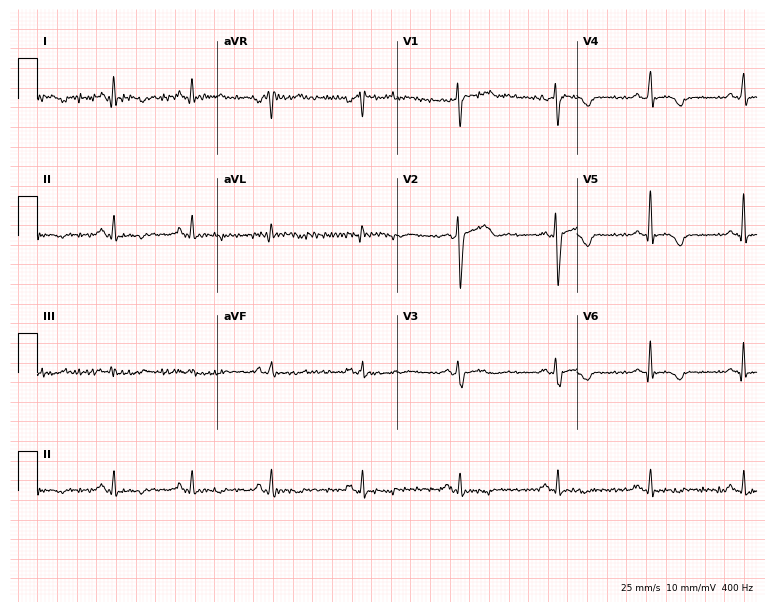
Standard 12-lead ECG recorded from a 49-year-old man. None of these six findings is recorded: first-degree AV block, right bundle branch block, left bundle branch block, sinus bradycardia, atrial fibrillation, sinus tachycardia.